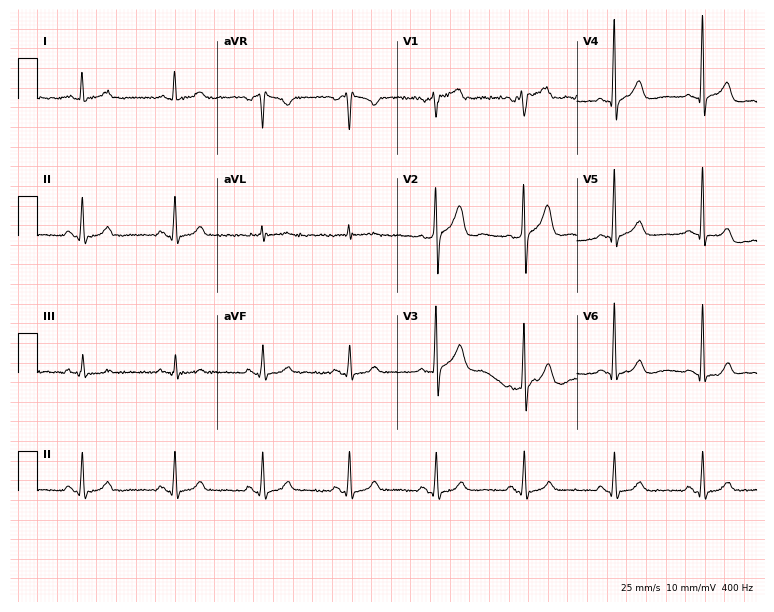
Electrocardiogram (7.3-second recording at 400 Hz), a man, 62 years old. Of the six screened findings (first-degree AV block, right bundle branch block, left bundle branch block, sinus bradycardia, atrial fibrillation, sinus tachycardia), none is recorded. Findings outside these six are not listed.